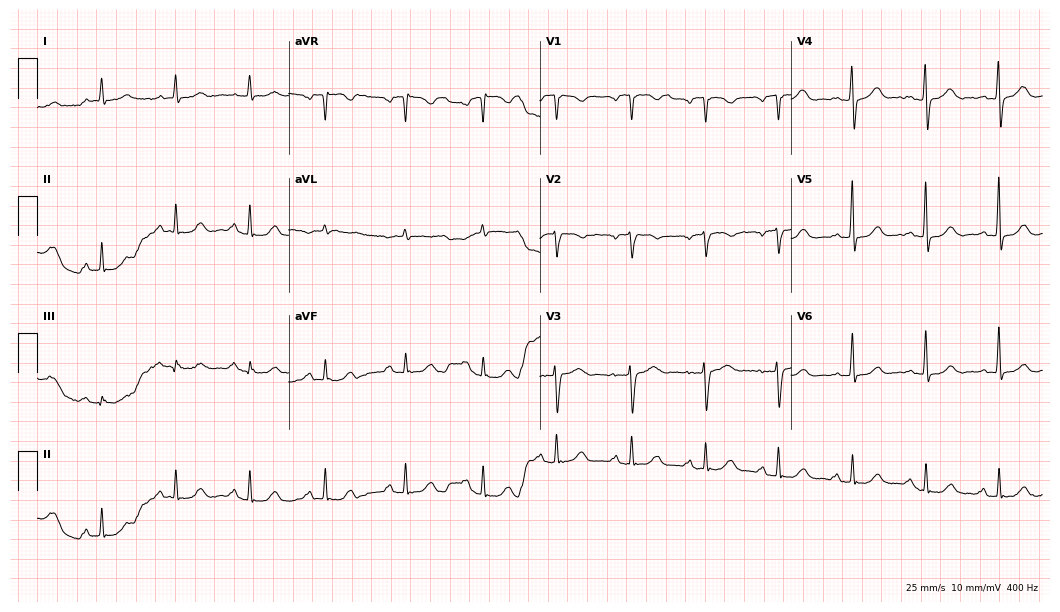
Resting 12-lead electrocardiogram (10.2-second recording at 400 Hz). Patient: a 66-year-old female. None of these six findings is recorded: first-degree AV block, right bundle branch block, left bundle branch block, sinus bradycardia, atrial fibrillation, sinus tachycardia.